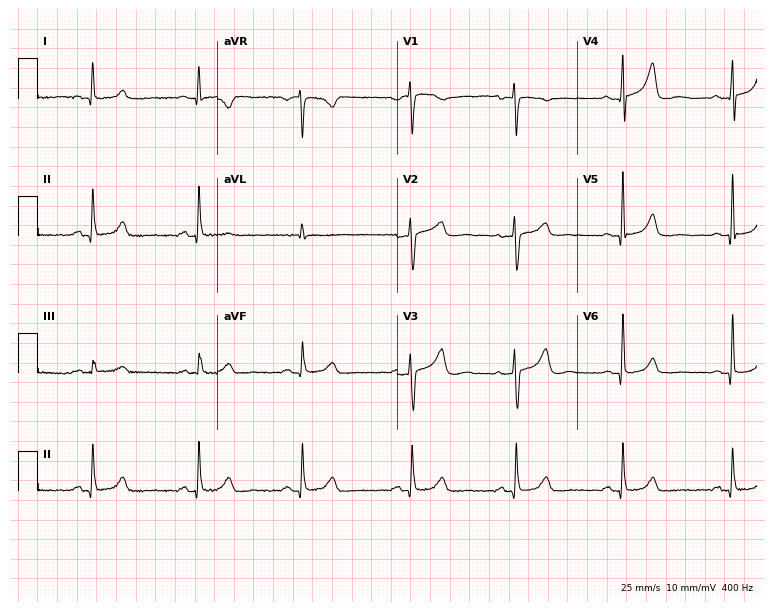
ECG (7.3-second recording at 400 Hz) — a woman, 79 years old. Labelled as a normal ECG.